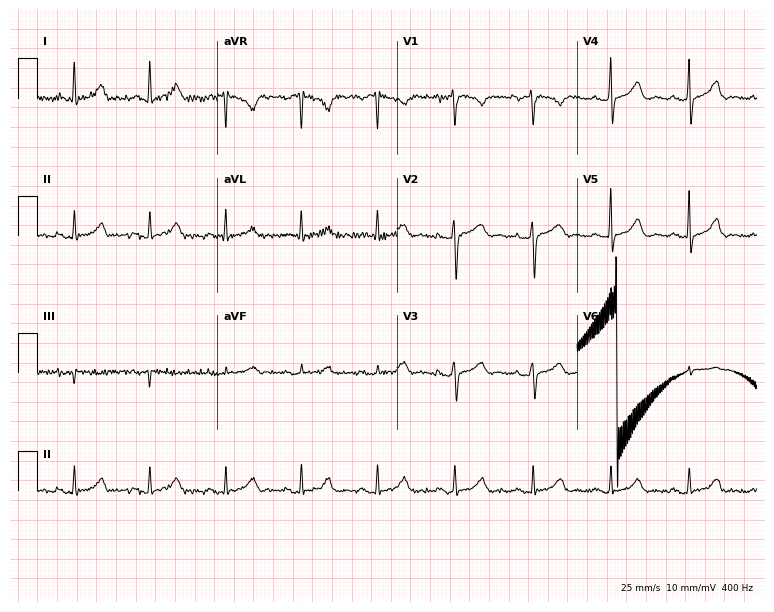
ECG (7.3-second recording at 400 Hz) — a woman, 73 years old. Labelled as a normal ECG.